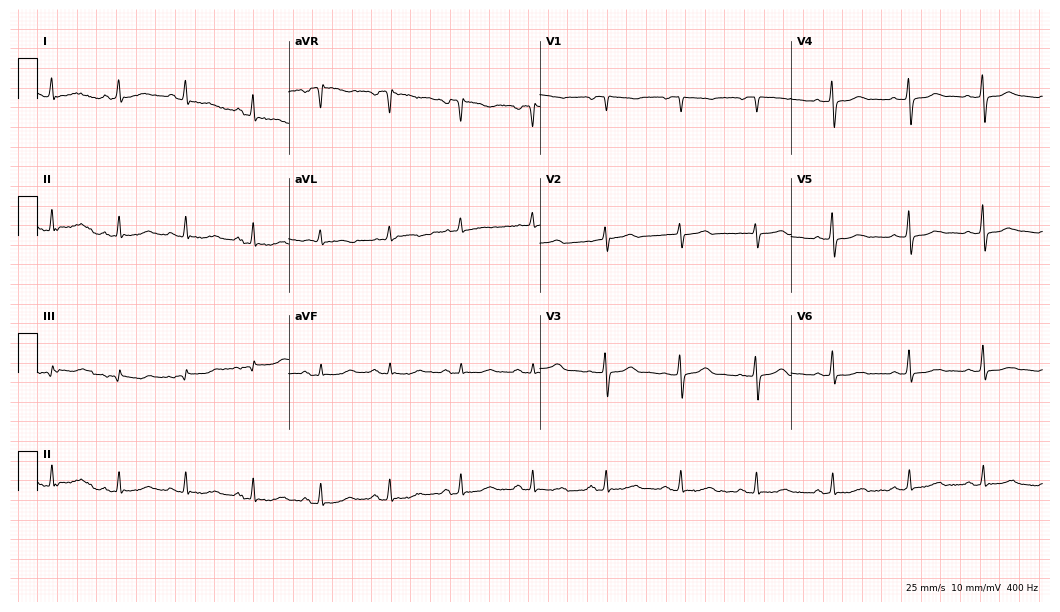
12-lead ECG (10.2-second recording at 400 Hz) from a female patient, 59 years old. Screened for six findings — first-degree AV block, right bundle branch block, left bundle branch block, sinus bradycardia, atrial fibrillation, sinus tachycardia — none is recorded. Findings outside these six are not listed.